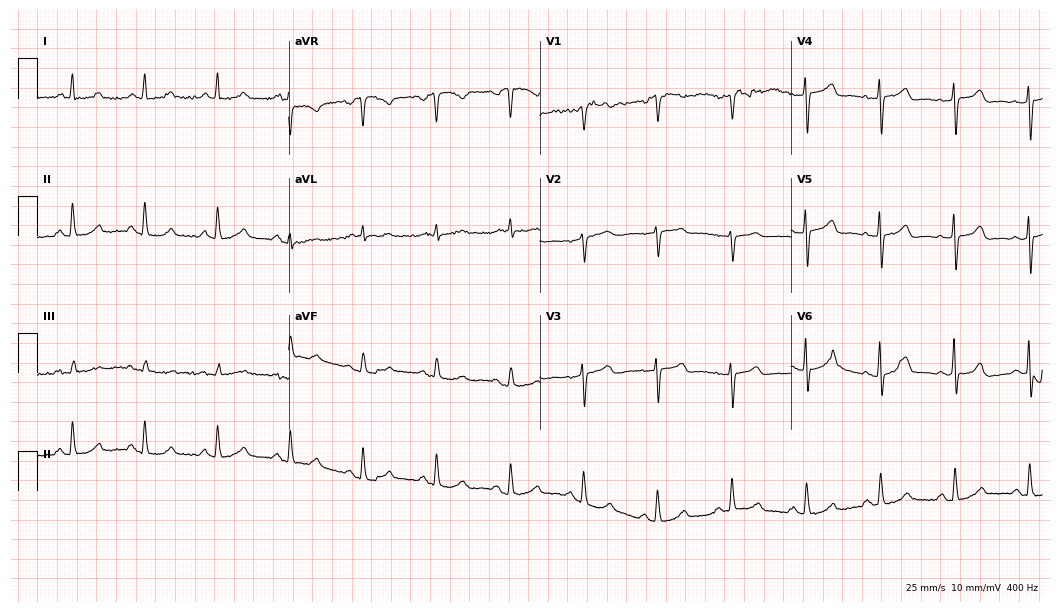
ECG — a 56-year-old female patient. Screened for six findings — first-degree AV block, right bundle branch block, left bundle branch block, sinus bradycardia, atrial fibrillation, sinus tachycardia — none is recorded.